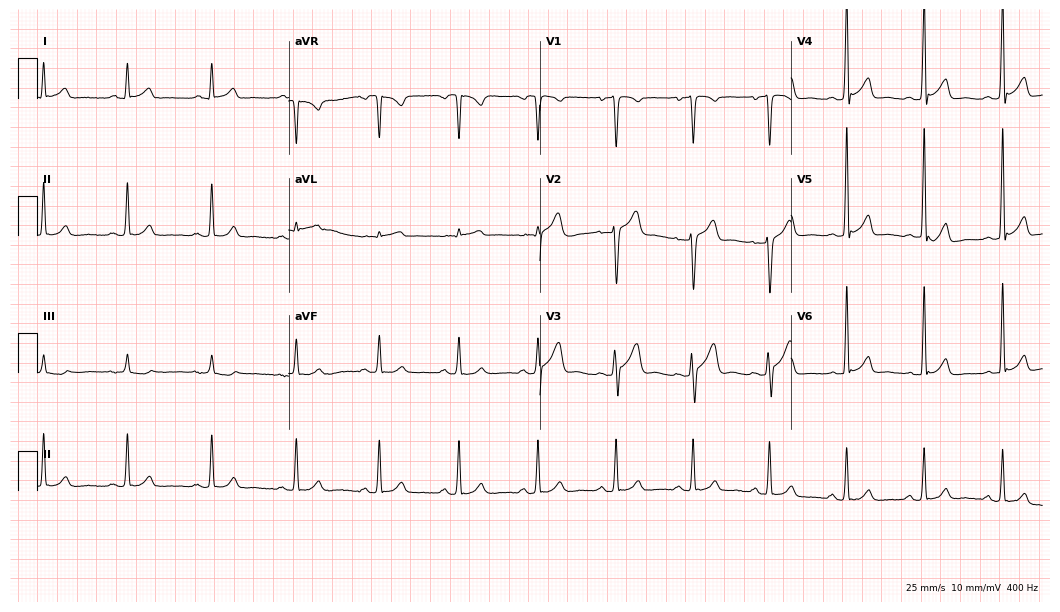
Electrocardiogram (10.2-second recording at 400 Hz), a man, 48 years old. Overall reading on record: normal ECG.